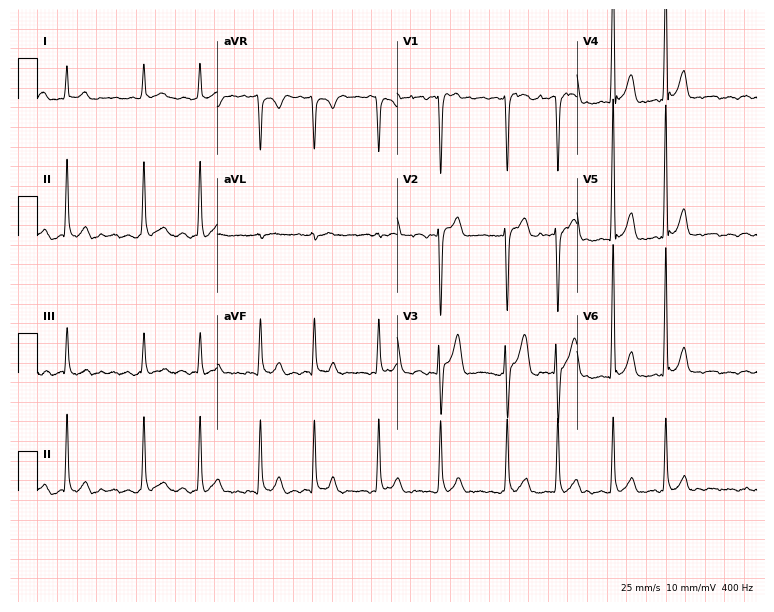
12-lead ECG from a 39-year-old male. Findings include atrial fibrillation.